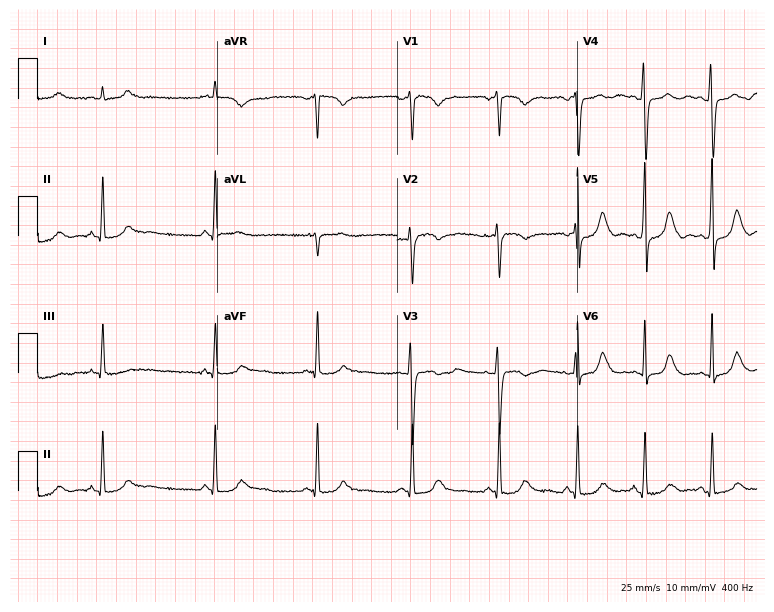
12-lead ECG (7.3-second recording at 400 Hz) from a 25-year-old woman. Screened for six findings — first-degree AV block, right bundle branch block, left bundle branch block, sinus bradycardia, atrial fibrillation, sinus tachycardia — none is recorded.